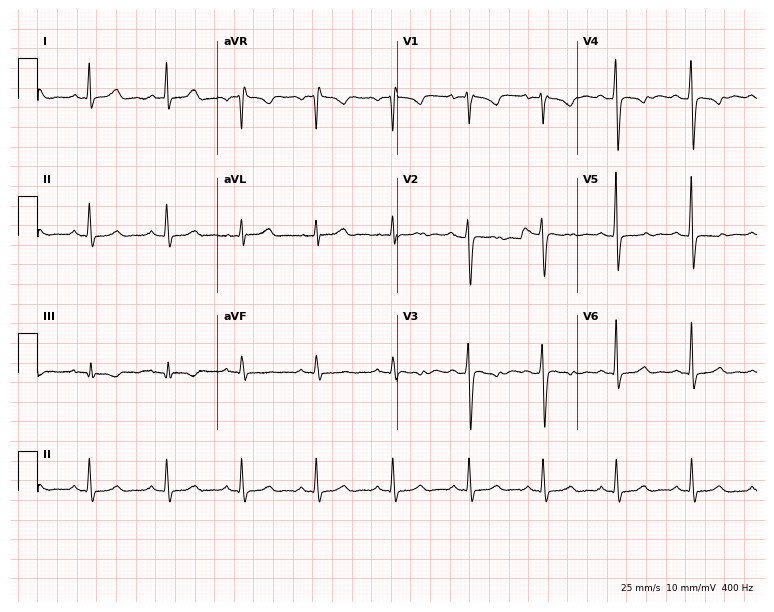
Electrocardiogram (7.3-second recording at 400 Hz), a 30-year-old female patient. Of the six screened findings (first-degree AV block, right bundle branch block (RBBB), left bundle branch block (LBBB), sinus bradycardia, atrial fibrillation (AF), sinus tachycardia), none is recorded. Only these six findings were labelled.